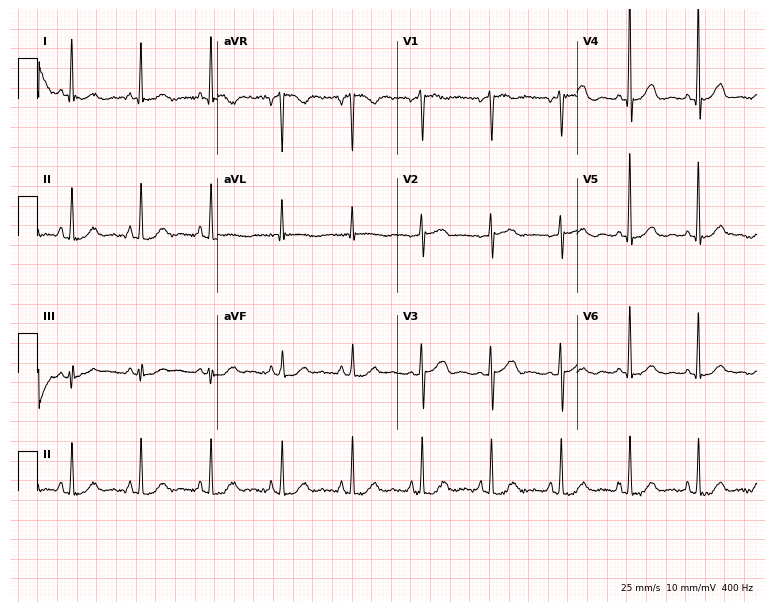
ECG — a female, 59 years old. Screened for six findings — first-degree AV block, right bundle branch block, left bundle branch block, sinus bradycardia, atrial fibrillation, sinus tachycardia — none is recorded.